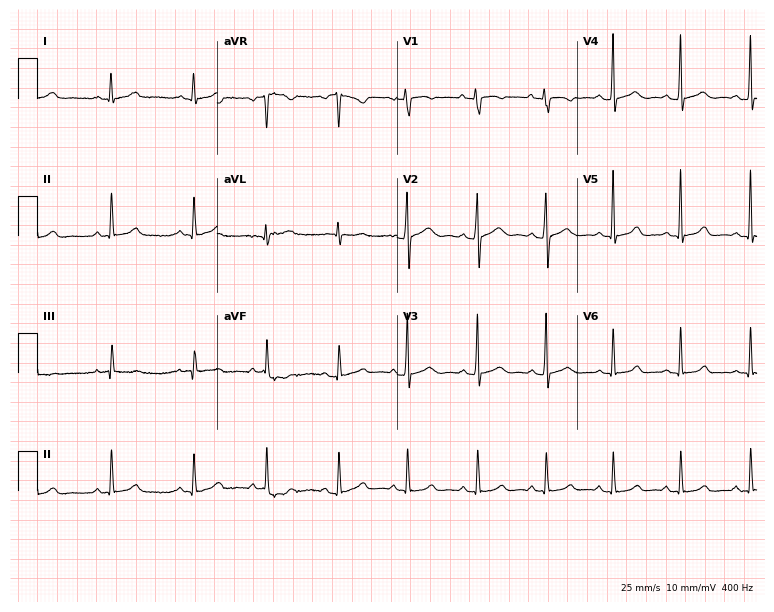
Resting 12-lead electrocardiogram. Patient: a 22-year-old female. None of these six findings is recorded: first-degree AV block, right bundle branch block, left bundle branch block, sinus bradycardia, atrial fibrillation, sinus tachycardia.